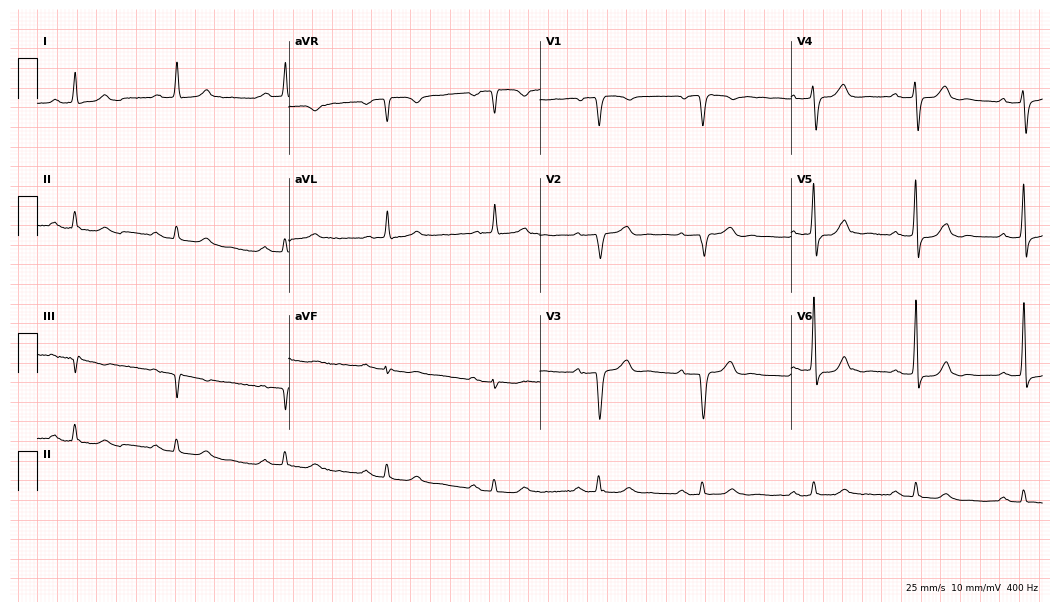
12-lead ECG from a 73-year-old male patient. Shows first-degree AV block.